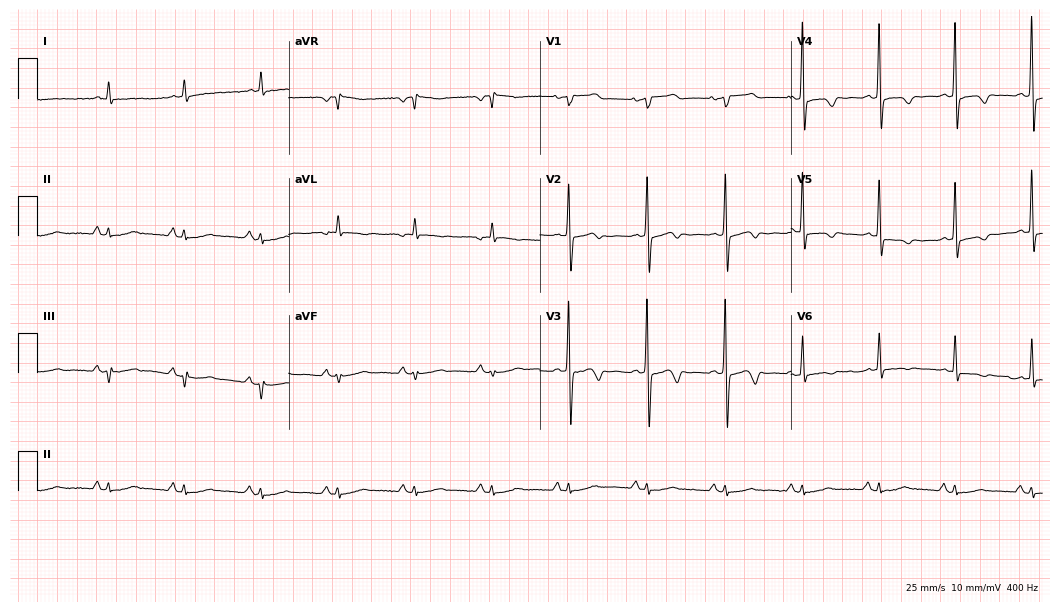
ECG — a woman, 83 years old. Screened for six findings — first-degree AV block, right bundle branch block (RBBB), left bundle branch block (LBBB), sinus bradycardia, atrial fibrillation (AF), sinus tachycardia — none is recorded.